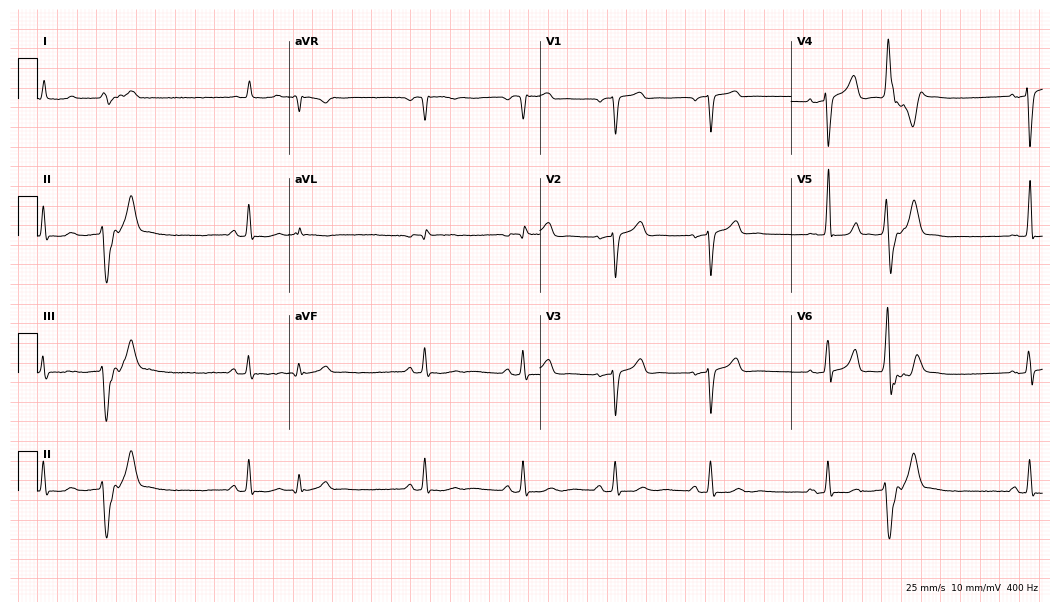
Resting 12-lead electrocardiogram. Patient: a male, 71 years old. None of these six findings is recorded: first-degree AV block, right bundle branch block (RBBB), left bundle branch block (LBBB), sinus bradycardia, atrial fibrillation (AF), sinus tachycardia. Only these six findings were labelled.